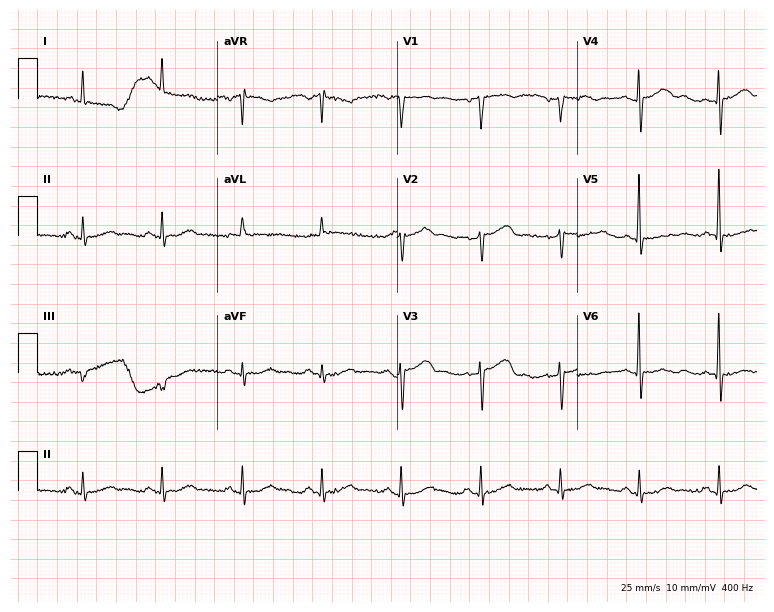
ECG (7.3-second recording at 400 Hz) — an 84-year-old female. Screened for six findings — first-degree AV block, right bundle branch block, left bundle branch block, sinus bradycardia, atrial fibrillation, sinus tachycardia — none is recorded. Only these six findings were labelled.